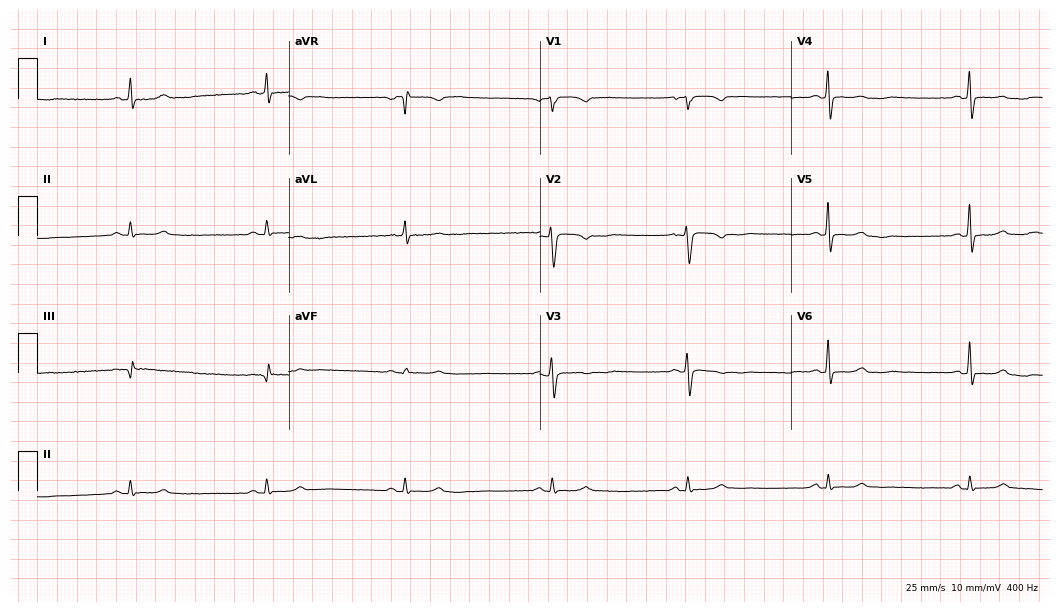
Electrocardiogram, a female patient, 59 years old. Interpretation includes sinus bradycardia (a sinus rate of 50 beats per minute or less).